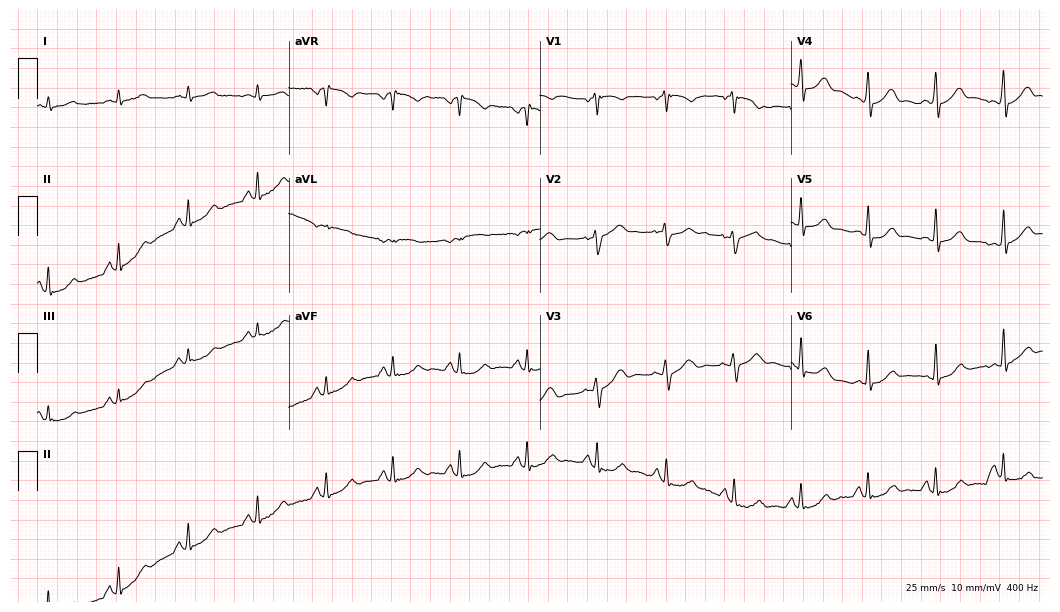
Electrocardiogram, a 61-year-old male. Overall reading on record: normal ECG.